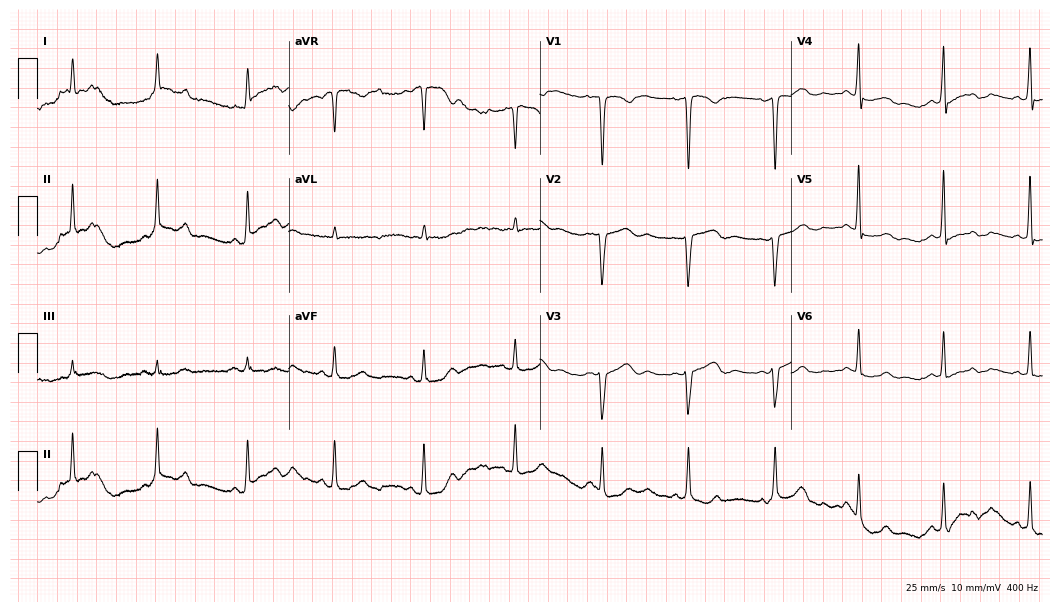
12-lead ECG from a female patient, 52 years old. Screened for six findings — first-degree AV block, right bundle branch block, left bundle branch block, sinus bradycardia, atrial fibrillation, sinus tachycardia — none is recorded. Only these six findings were labelled.